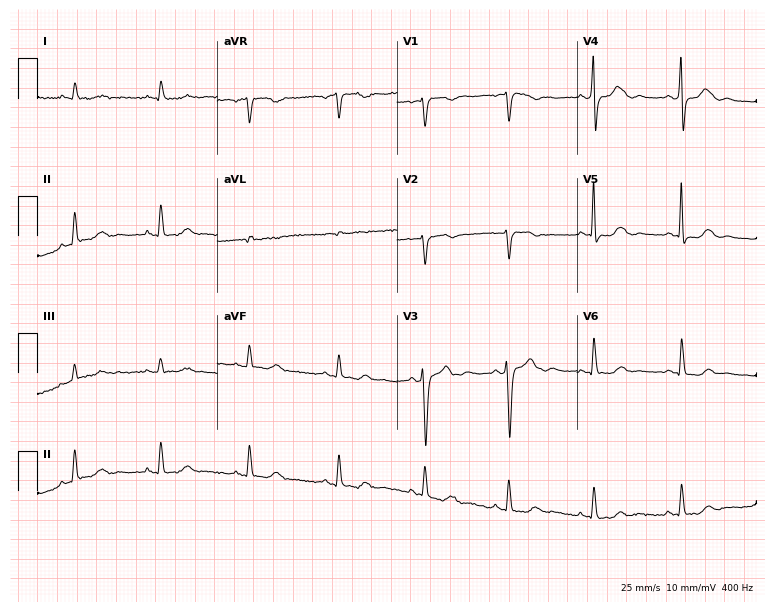
ECG (7.3-second recording at 400 Hz) — a 48-year-old female patient. Screened for six findings — first-degree AV block, right bundle branch block (RBBB), left bundle branch block (LBBB), sinus bradycardia, atrial fibrillation (AF), sinus tachycardia — none is recorded. Only these six findings were labelled.